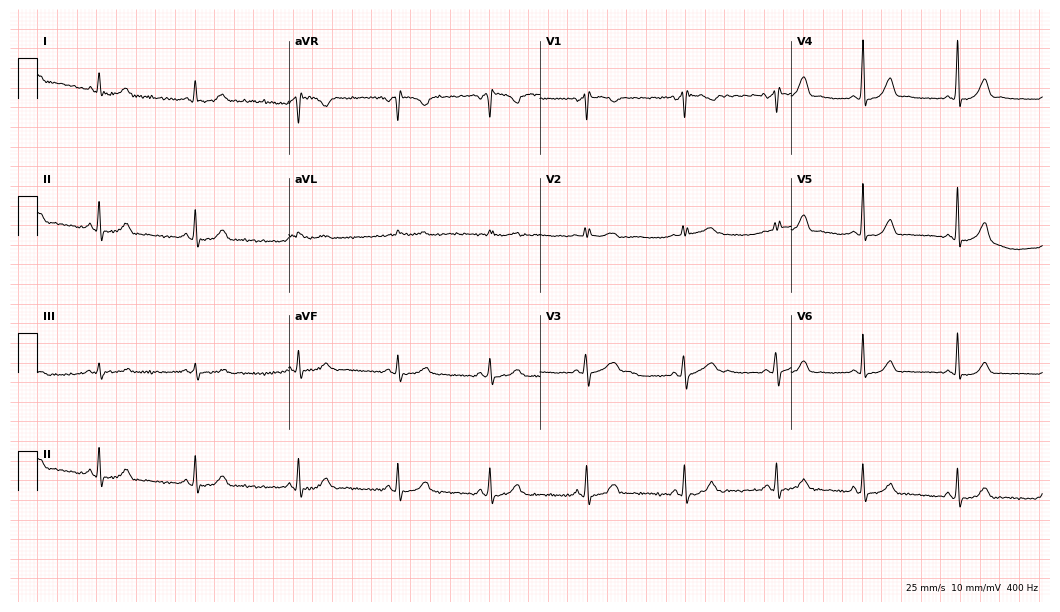
Standard 12-lead ECG recorded from a woman, 35 years old. Read as a normal ECG.